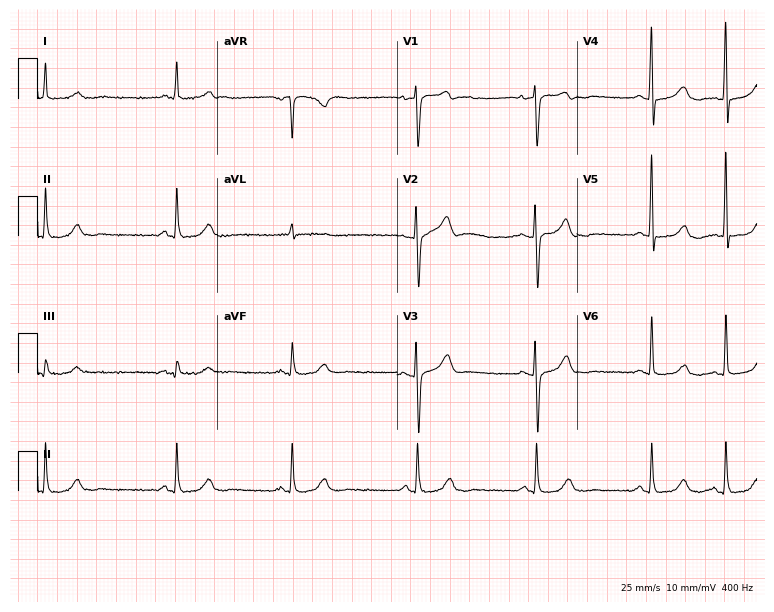
Electrocardiogram (7.3-second recording at 400 Hz), a 53-year-old female patient. Of the six screened findings (first-degree AV block, right bundle branch block (RBBB), left bundle branch block (LBBB), sinus bradycardia, atrial fibrillation (AF), sinus tachycardia), none is recorded. Only these six findings were labelled.